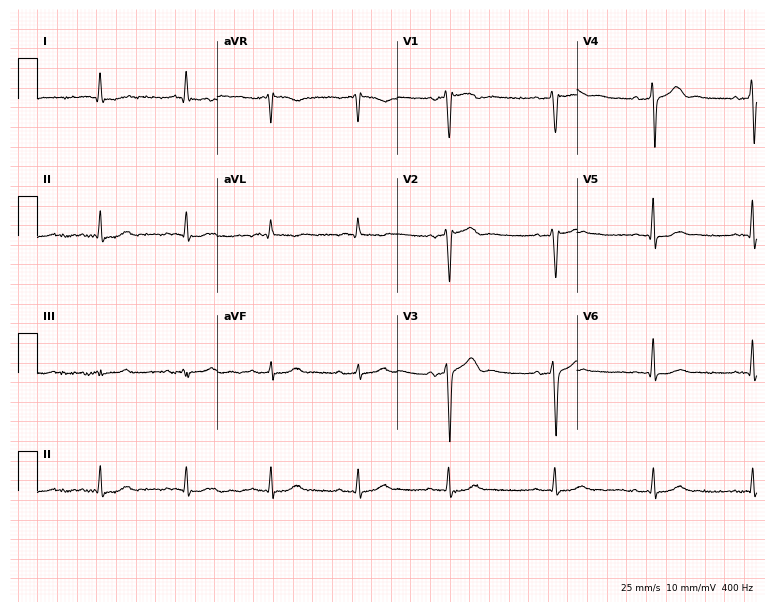
12-lead ECG from a man, 72 years old. Screened for six findings — first-degree AV block, right bundle branch block (RBBB), left bundle branch block (LBBB), sinus bradycardia, atrial fibrillation (AF), sinus tachycardia — none is recorded.